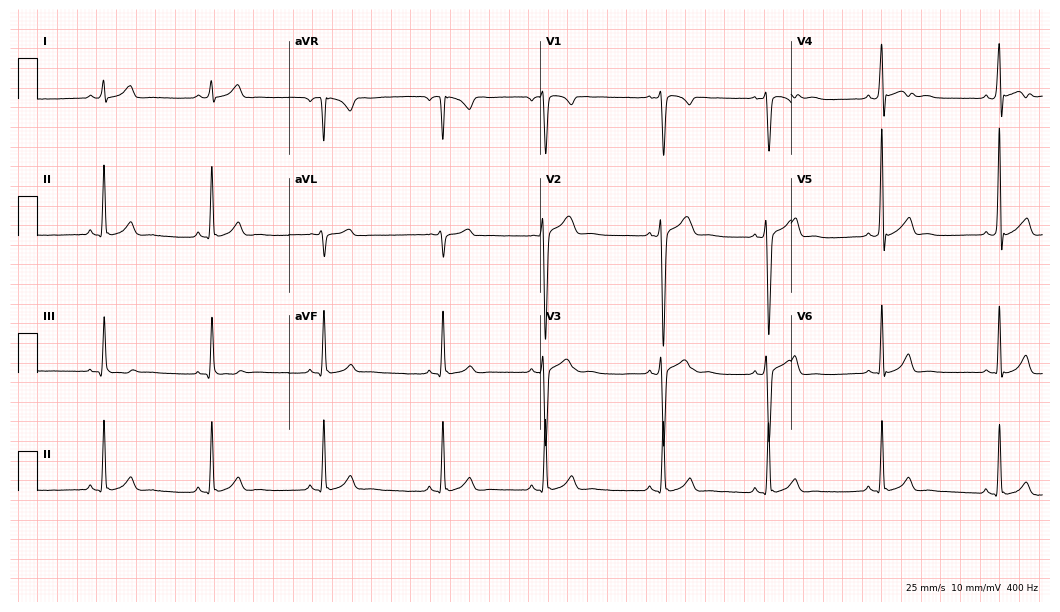
Electrocardiogram (10.2-second recording at 400 Hz), a 17-year-old man. Of the six screened findings (first-degree AV block, right bundle branch block (RBBB), left bundle branch block (LBBB), sinus bradycardia, atrial fibrillation (AF), sinus tachycardia), none is recorded.